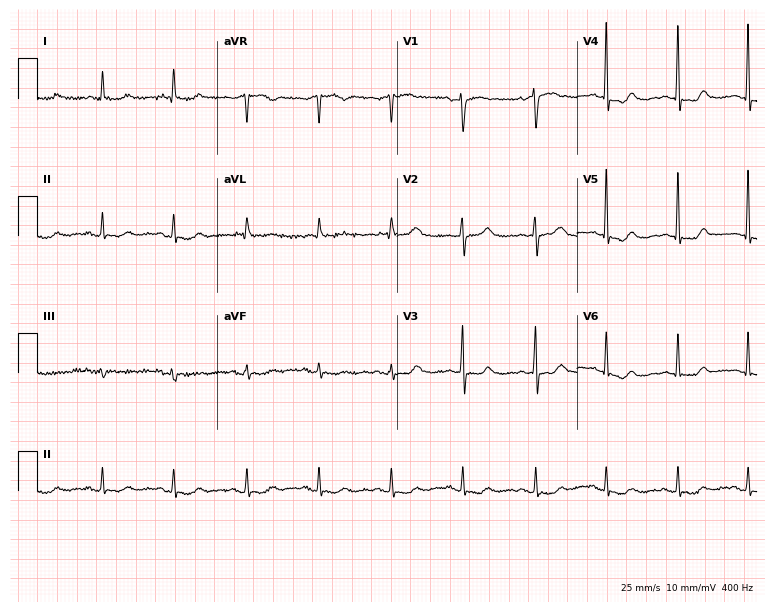
ECG (7.3-second recording at 400 Hz) — a 79-year-old woman. Screened for six findings — first-degree AV block, right bundle branch block, left bundle branch block, sinus bradycardia, atrial fibrillation, sinus tachycardia — none is recorded.